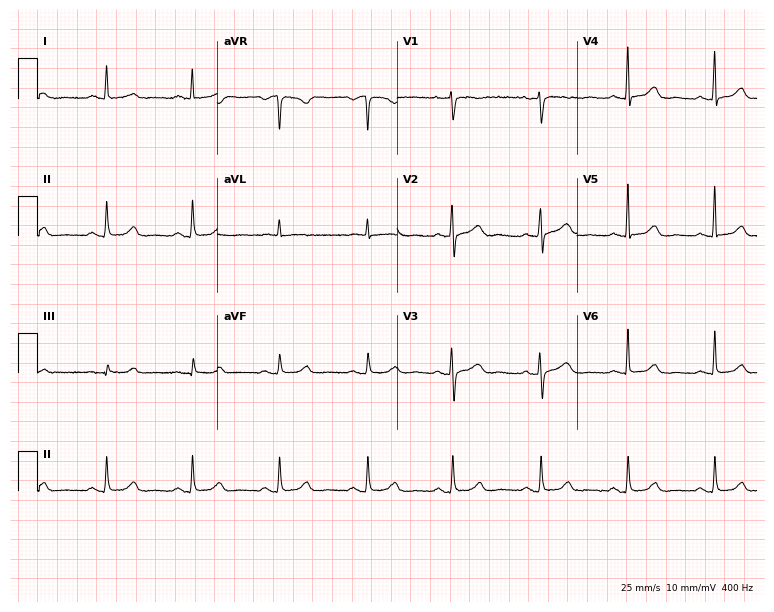
ECG (7.3-second recording at 400 Hz) — a female patient, 54 years old. Labelled as a normal ECG.